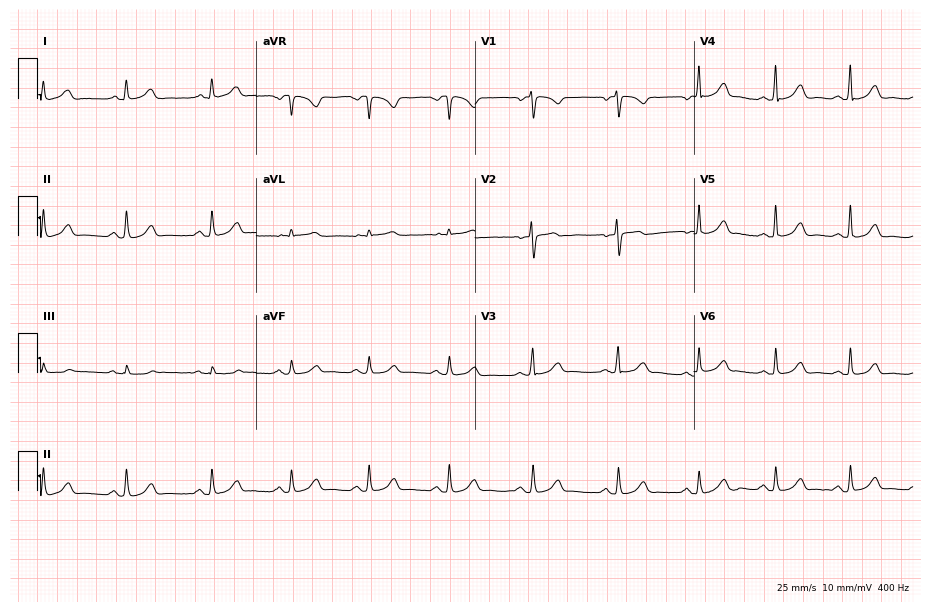
Resting 12-lead electrocardiogram (8.9-second recording at 400 Hz). Patient: a male, 34 years old. Read as a normal ECG.